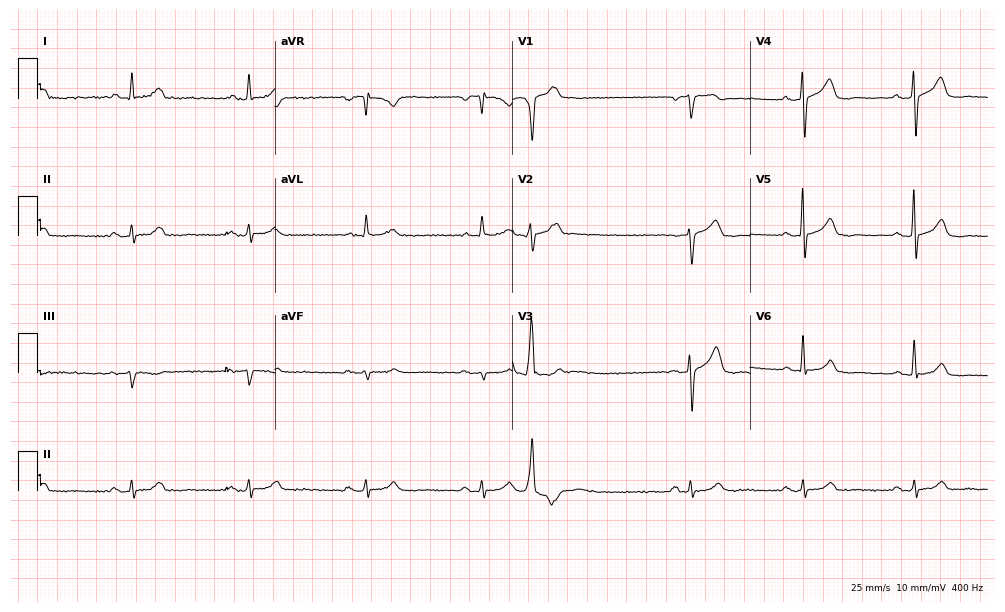
12-lead ECG from a male patient, 74 years old. Labelled as a normal ECG.